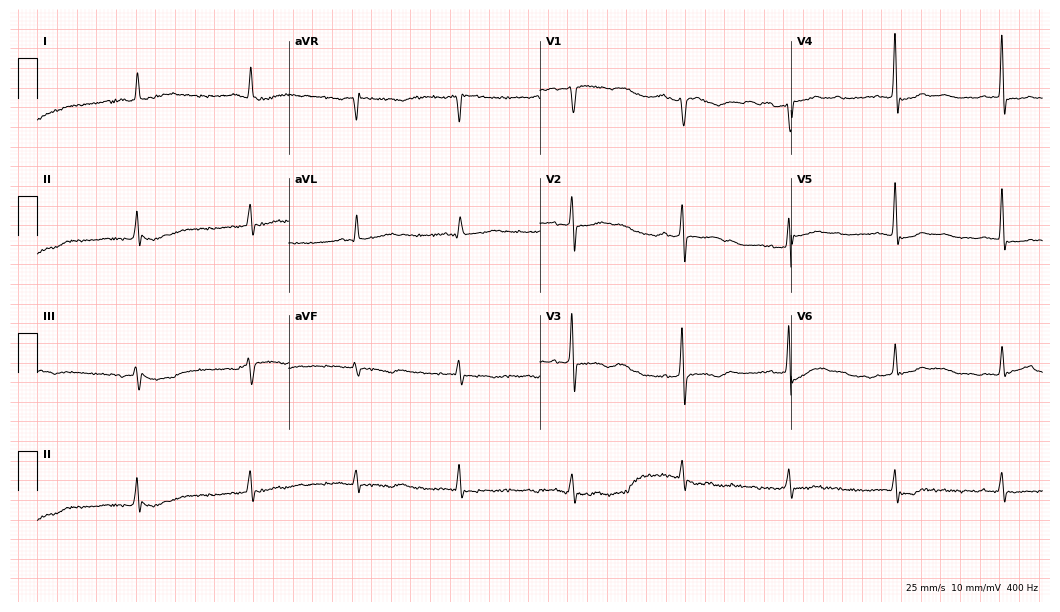
Electrocardiogram, a female patient, 78 years old. Of the six screened findings (first-degree AV block, right bundle branch block, left bundle branch block, sinus bradycardia, atrial fibrillation, sinus tachycardia), none is recorded.